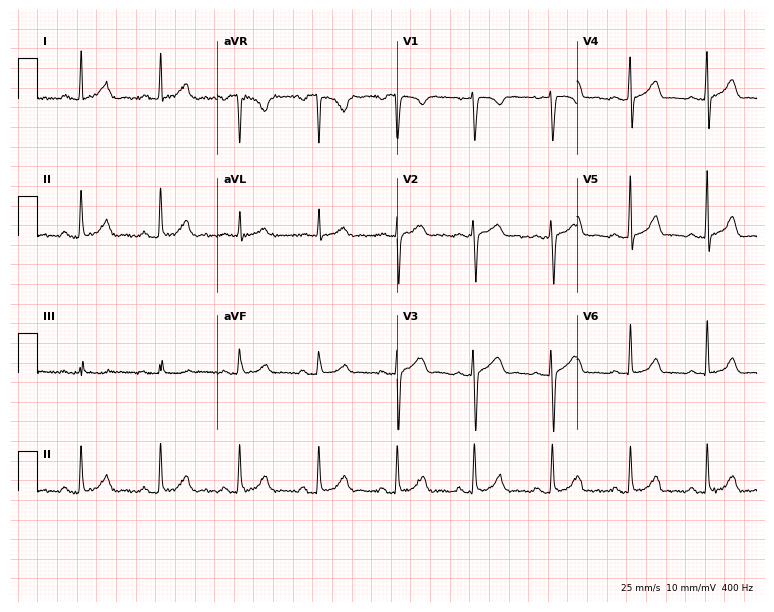
Standard 12-lead ECG recorded from a woman, 46 years old (7.3-second recording at 400 Hz). Read as a normal ECG.